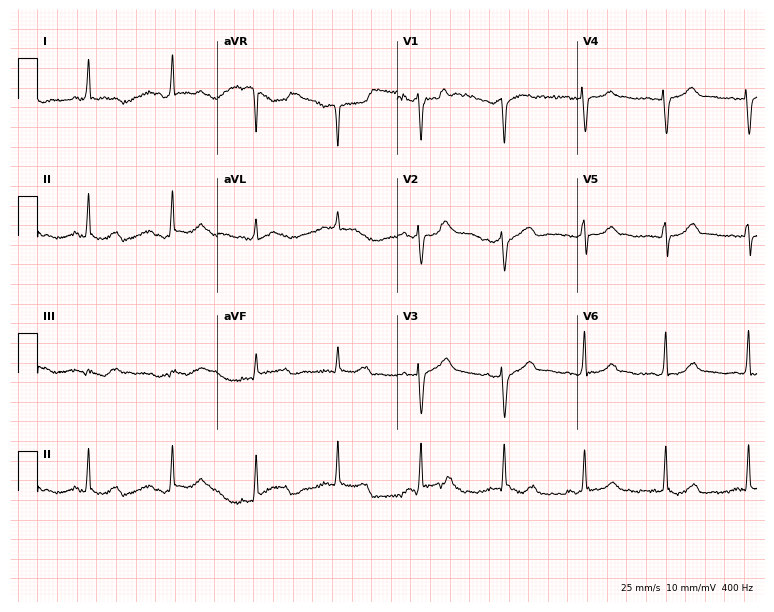
ECG (7.3-second recording at 400 Hz) — a female, 42 years old. Labelled as a normal ECG.